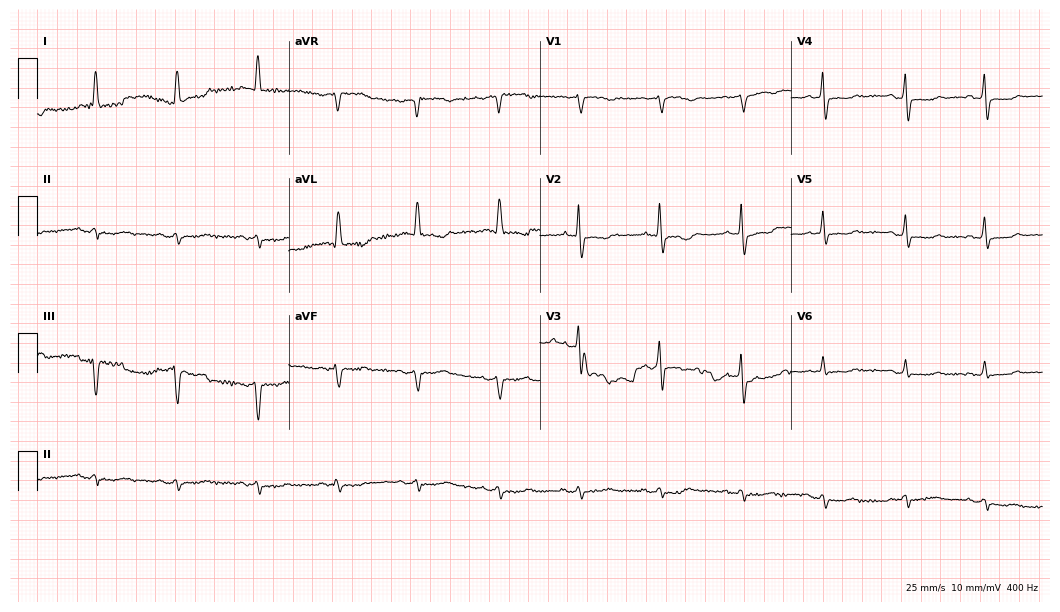
12-lead ECG from a woman, 78 years old (10.2-second recording at 400 Hz). No first-degree AV block, right bundle branch block, left bundle branch block, sinus bradycardia, atrial fibrillation or sinus tachycardia recorded for this tracing. Findings outside these six are not listed.